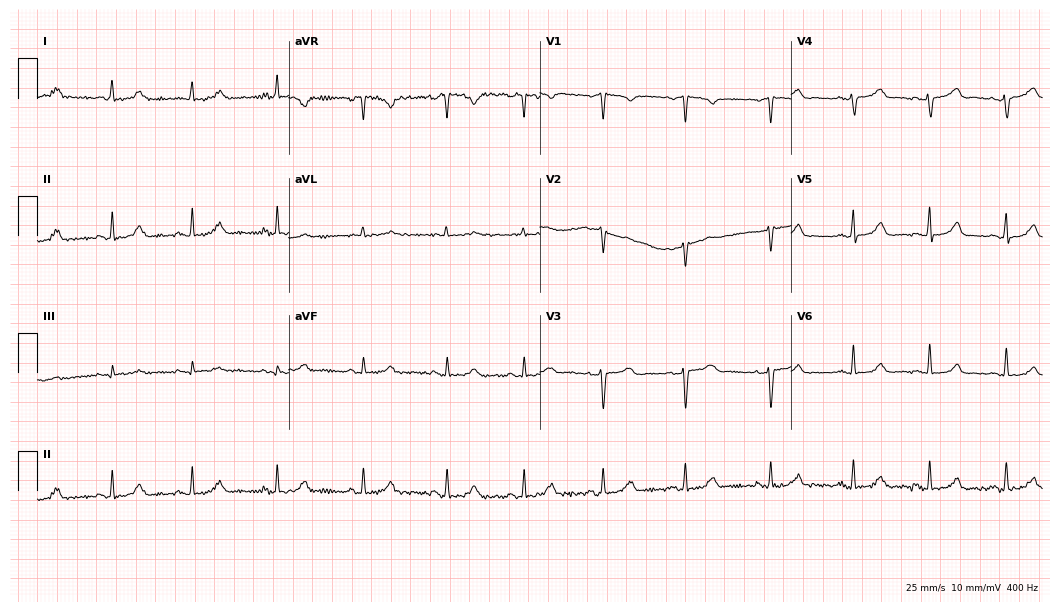
ECG — a 26-year-old woman. Labelled as a normal ECG.